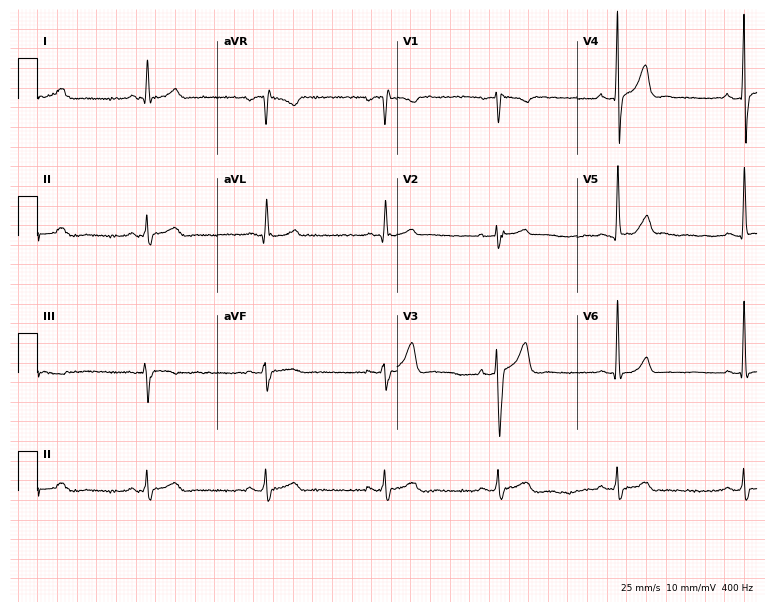
Electrocardiogram, a 40-year-old male. Of the six screened findings (first-degree AV block, right bundle branch block (RBBB), left bundle branch block (LBBB), sinus bradycardia, atrial fibrillation (AF), sinus tachycardia), none is recorded.